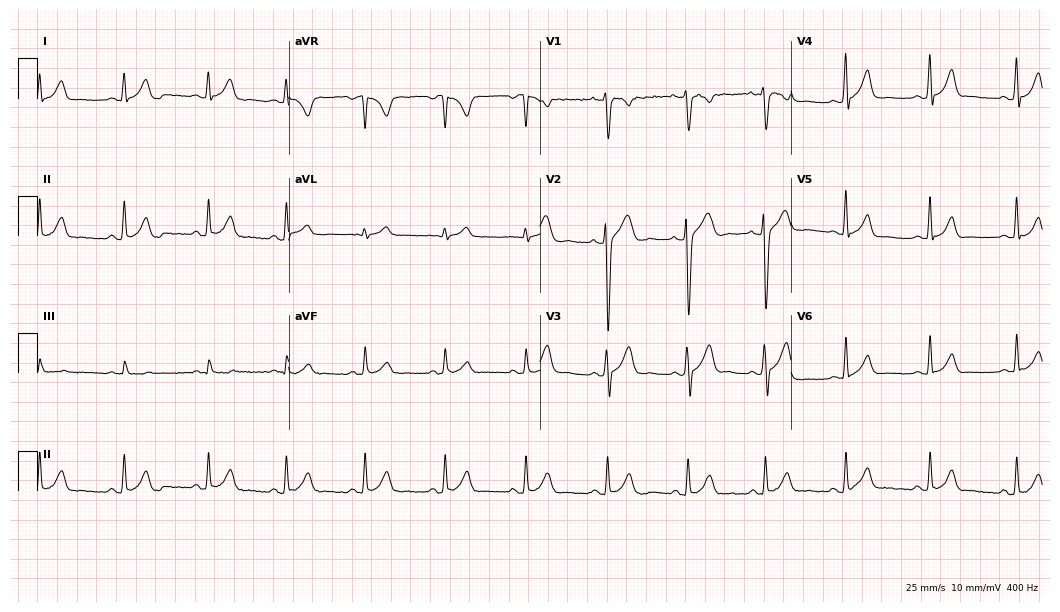
12-lead ECG from a 24-year-old man (10.2-second recording at 400 Hz). Recorded interpretation: within normal limits.